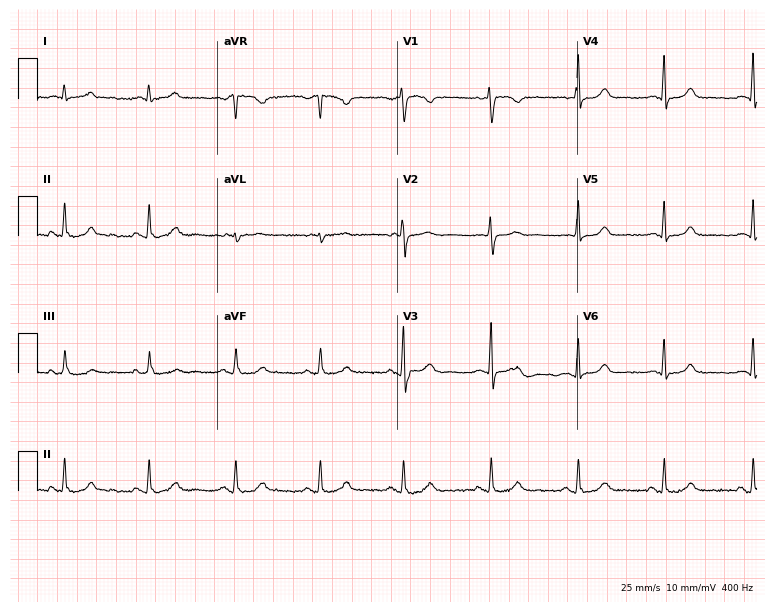
ECG — a woman, 50 years old. Labelled as a normal ECG.